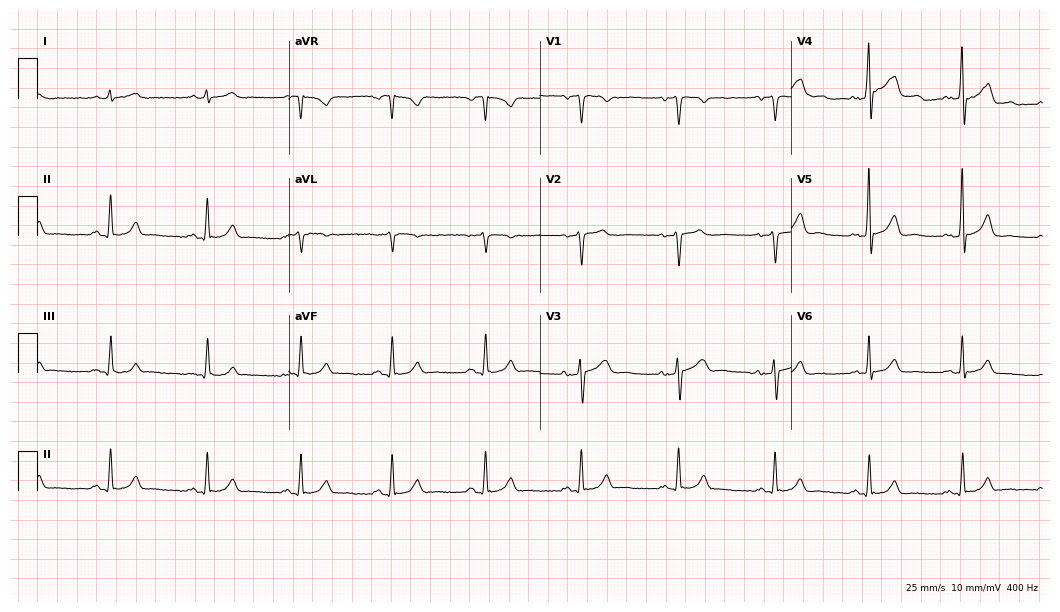
ECG — a 58-year-old man. Labelled as a normal ECG.